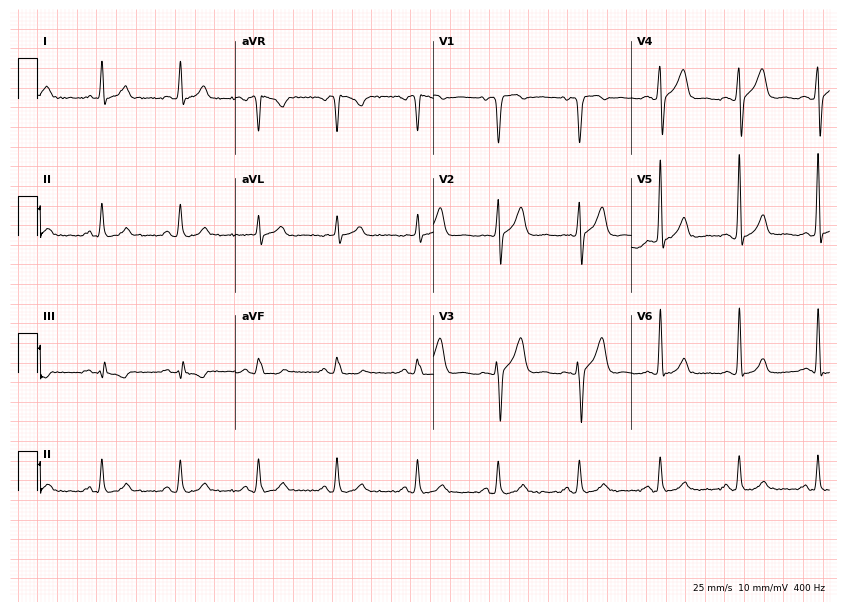
Resting 12-lead electrocardiogram (8.1-second recording at 400 Hz). Patient: a 57-year-old male. Read as a normal ECG.